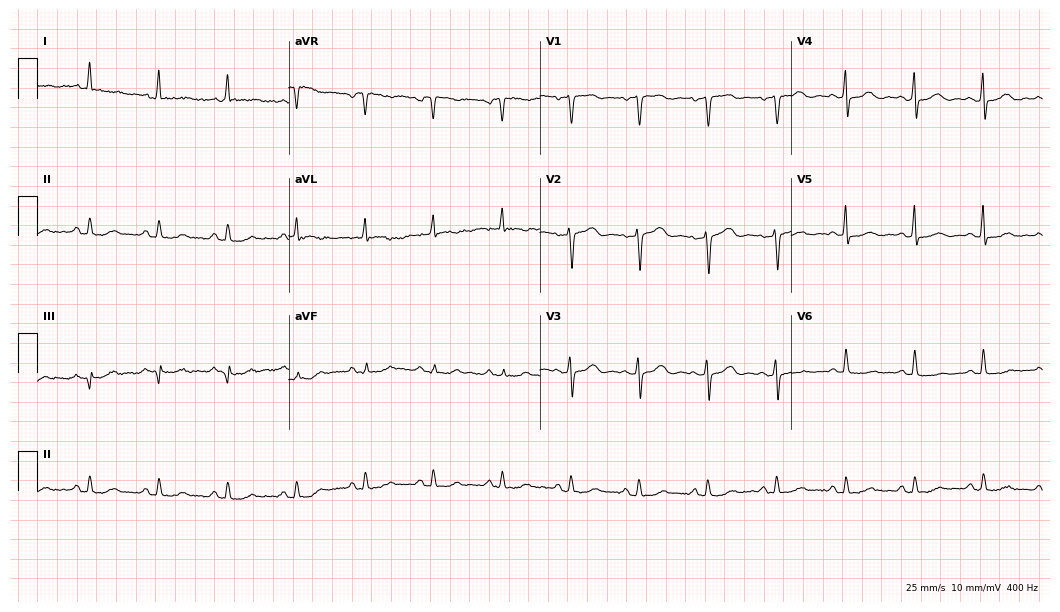
Resting 12-lead electrocardiogram (10.2-second recording at 400 Hz). Patient: a woman, 62 years old. None of these six findings is recorded: first-degree AV block, right bundle branch block, left bundle branch block, sinus bradycardia, atrial fibrillation, sinus tachycardia. Only these six findings were labelled.